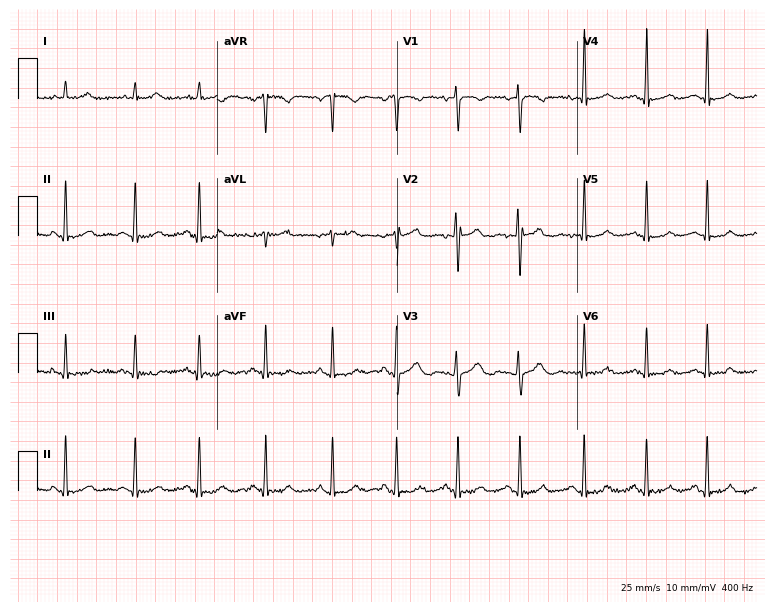
Electrocardiogram, a female patient, 19 years old. Overall reading on record: normal ECG.